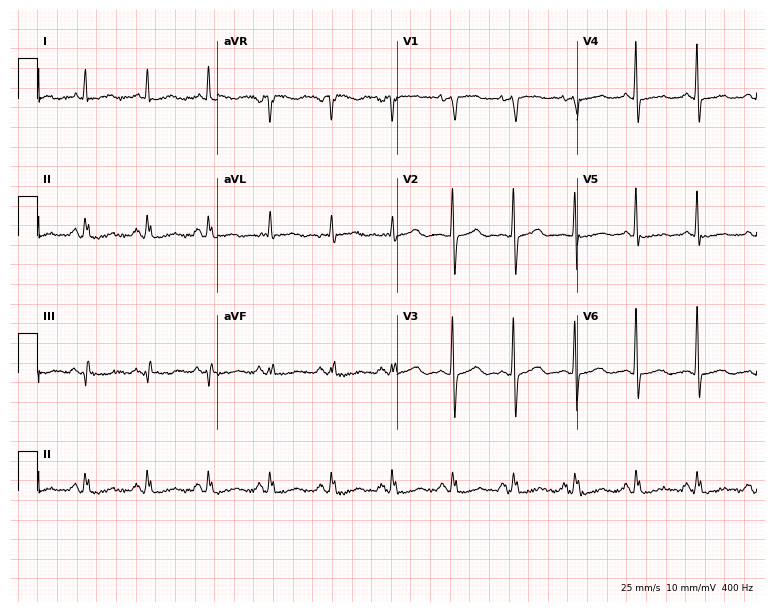
12-lead ECG from a female patient, 59 years old (7.3-second recording at 400 Hz). No first-degree AV block, right bundle branch block, left bundle branch block, sinus bradycardia, atrial fibrillation or sinus tachycardia recorded for this tracing. Other findings, if any, are not listed.